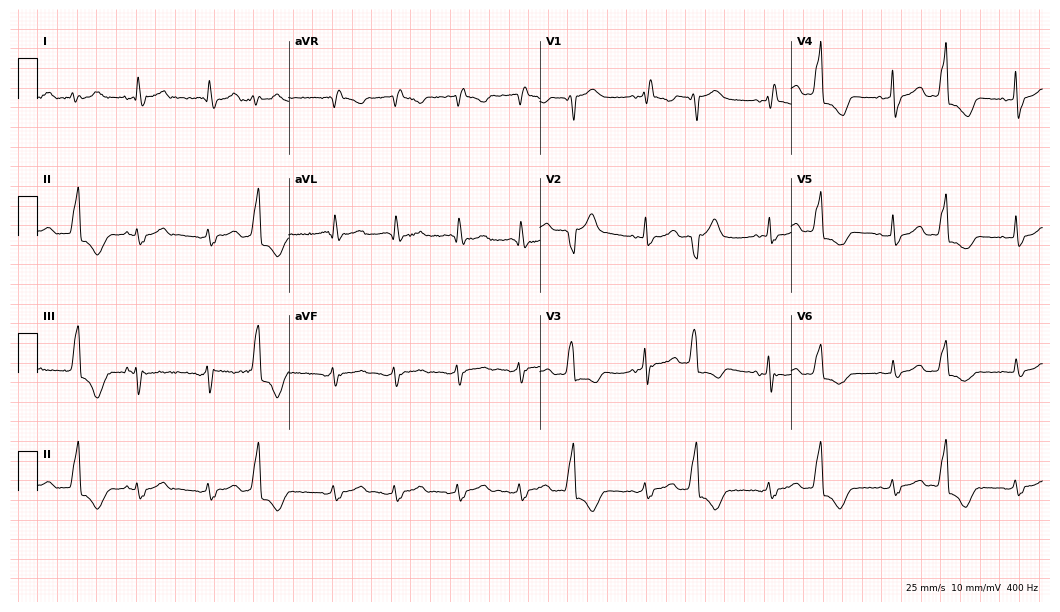
12-lead ECG from an 85-year-old female. Findings include right bundle branch block.